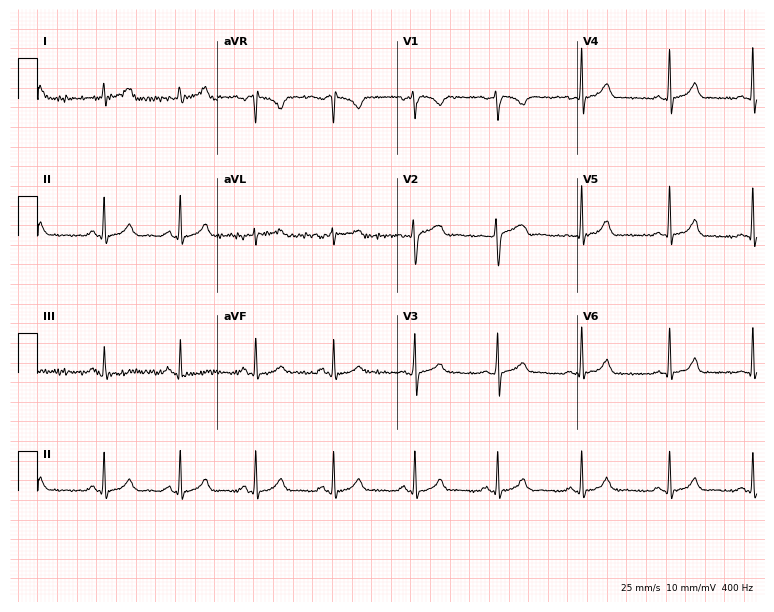
ECG — a 20-year-old female. Screened for six findings — first-degree AV block, right bundle branch block, left bundle branch block, sinus bradycardia, atrial fibrillation, sinus tachycardia — none is recorded. Findings outside these six are not listed.